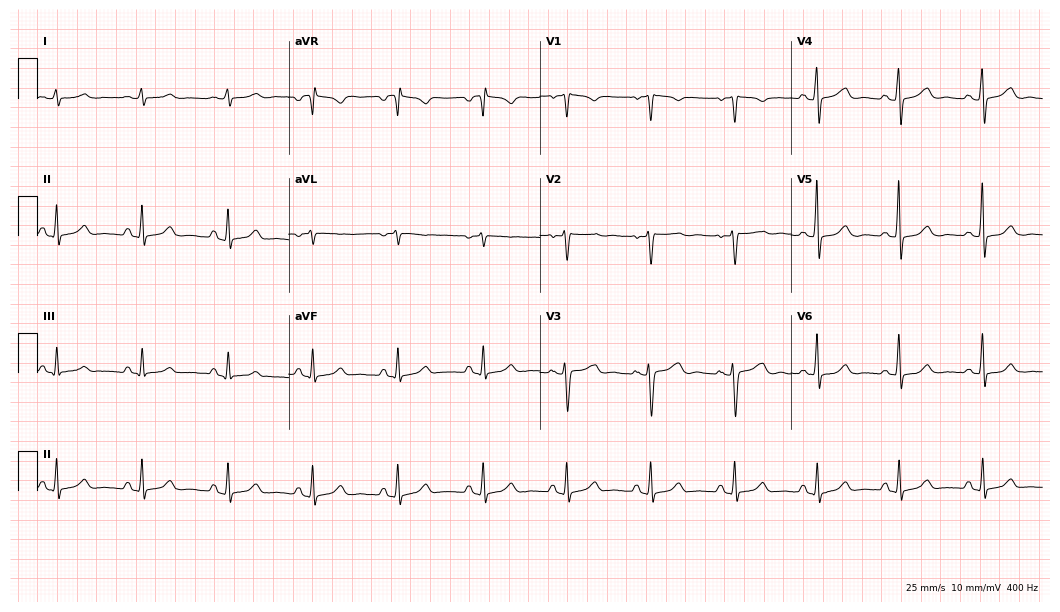
12-lead ECG from a 42-year-old woman. No first-degree AV block, right bundle branch block, left bundle branch block, sinus bradycardia, atrial fibrillation or sinus tachycardia recorded for this tracing. Only these six findings were labelled.